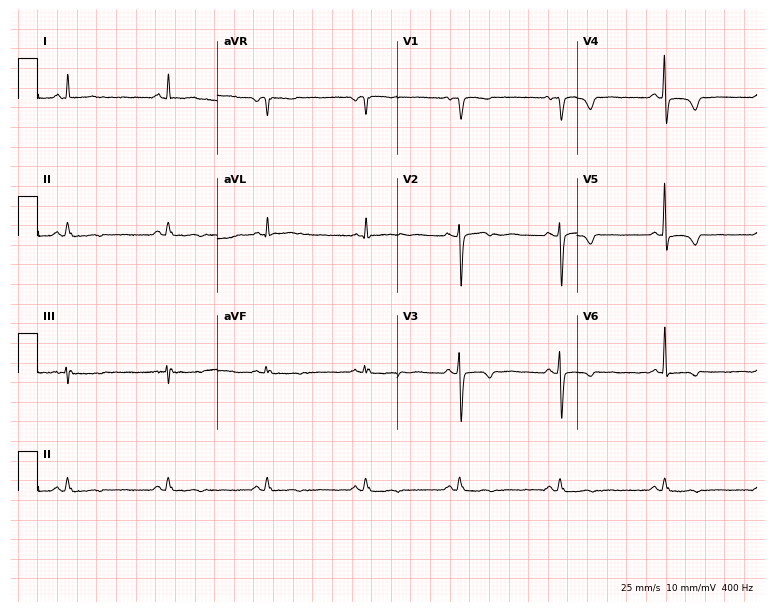
12-lead ECG from a female, 72 years old. Screened for six findings — first-degree AV block, right bundle branch block, left bundle branch block, sinus bradycardia, atrial fibrillation, sinus tachycardia — none is recorded.